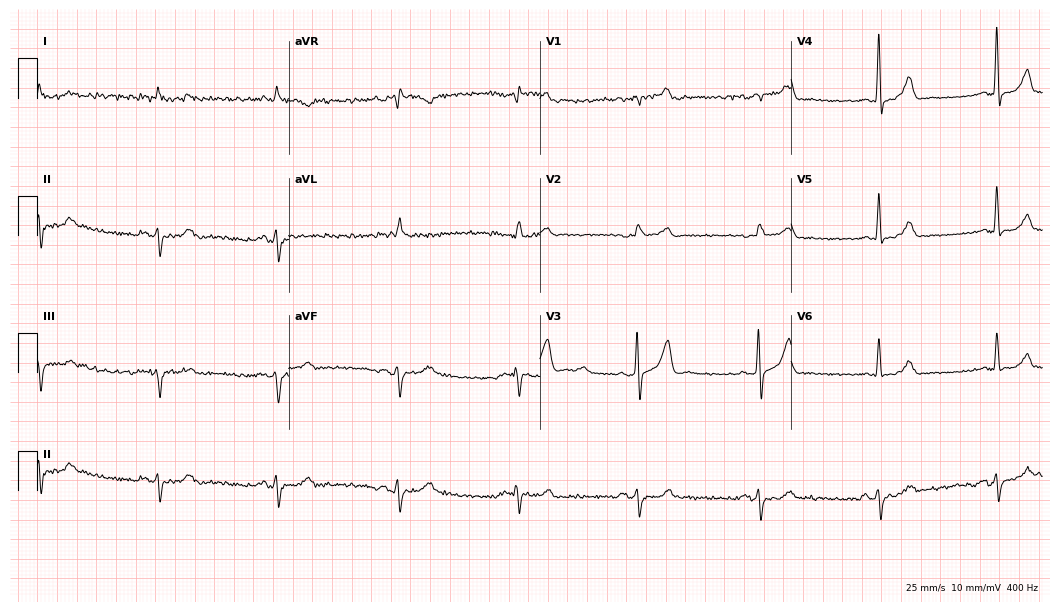
Electrocardiogram (10.2-second recording at 400 Hz), a man, 55 years old. Of the six screened findings (first-degree AV block, right bundle branch block, left bundle branch block, sinus bradycardia, atrial fibrillation, sinus tachycardia), none is recorded. Findings outside these six are not listed.